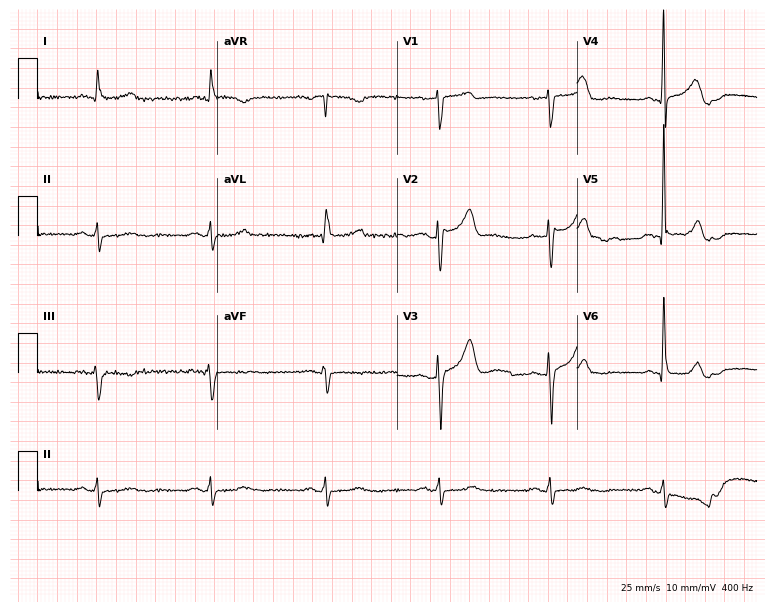
Electrocardiogram, a 64-year-old man. Of the six screened findings (first-degree AV block, right bundle branch block (RBBB), left bundle branch block (LBBB), sinus bradycardia, atrial fibrillation (AF), sinus tachycardia), none is recorded.